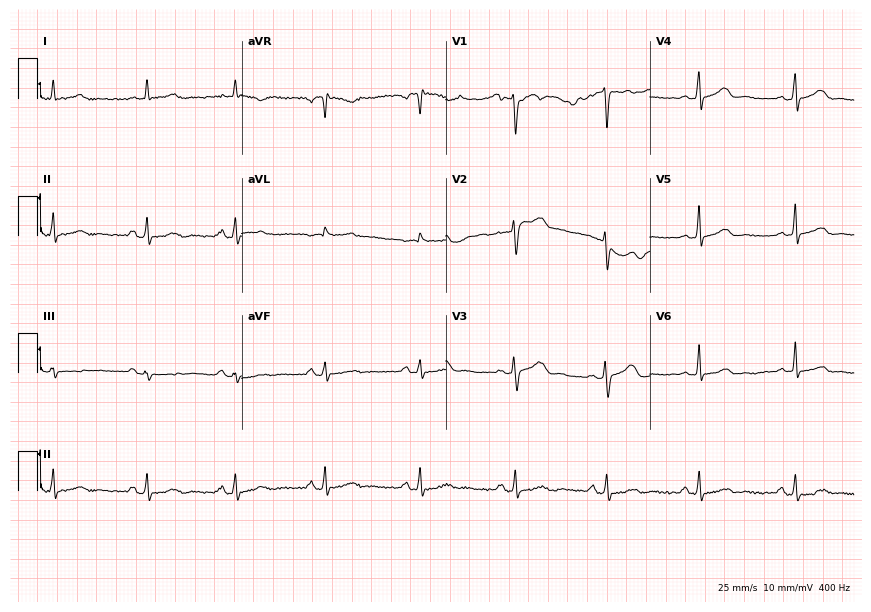
12-lead ECG from a female, 44 years old. Recorded interpretation: within normal limits.